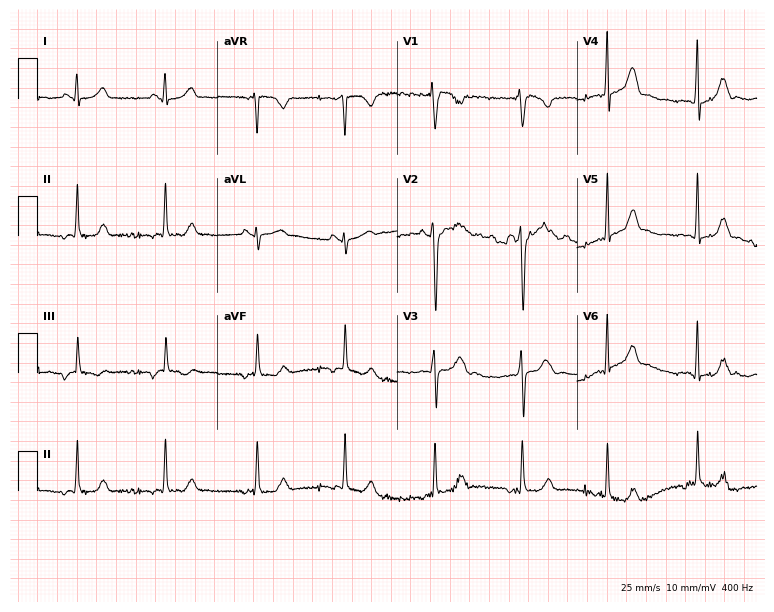
Standard 12-lead ECG recorded from a 28-year-old woman (7.3-second recording at 400 Hz). Read as a normal ECG.